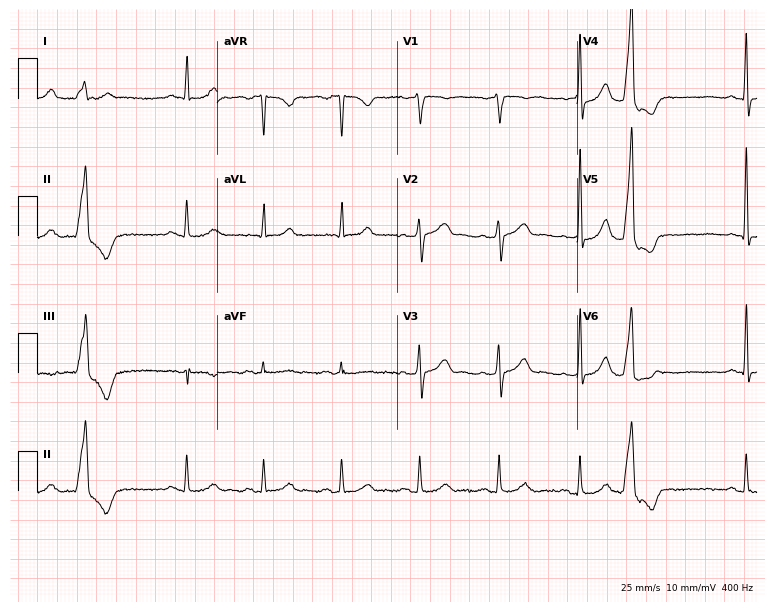
ECG (7.3-second recording at 400 Hz) — a male patient, 62 years old. Screened for six findings — first-degree AV block, right bundle branch block, left bundle branch block, sinus bradycardia, atrial fibrillation, sinus tachycardia — none is recorded. Other findings, if any, are not listed.